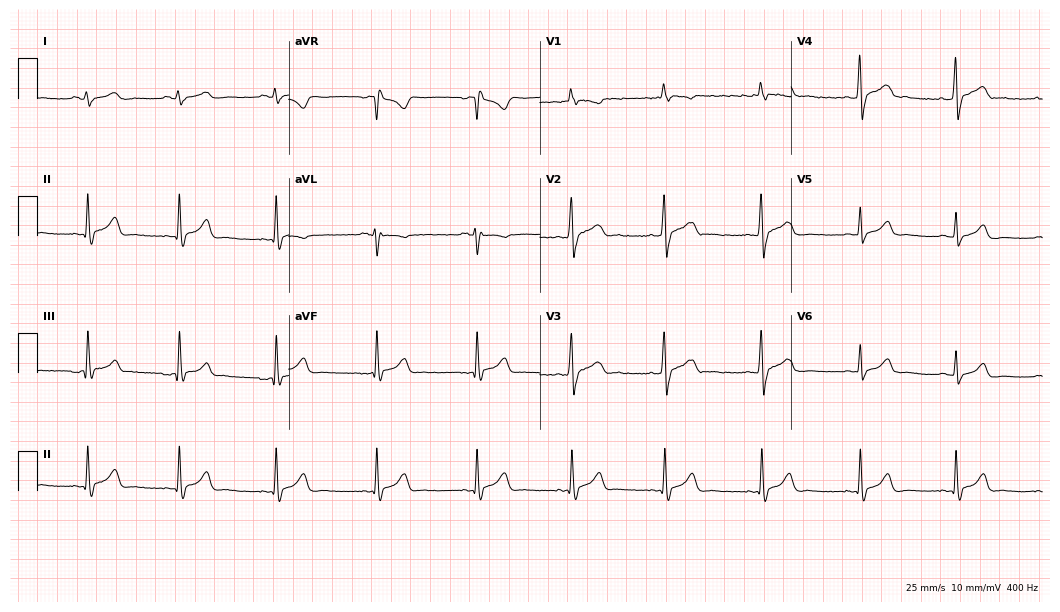
12-lead ECG from a 19-year-old male. Recorded interpretation: within normal limits.